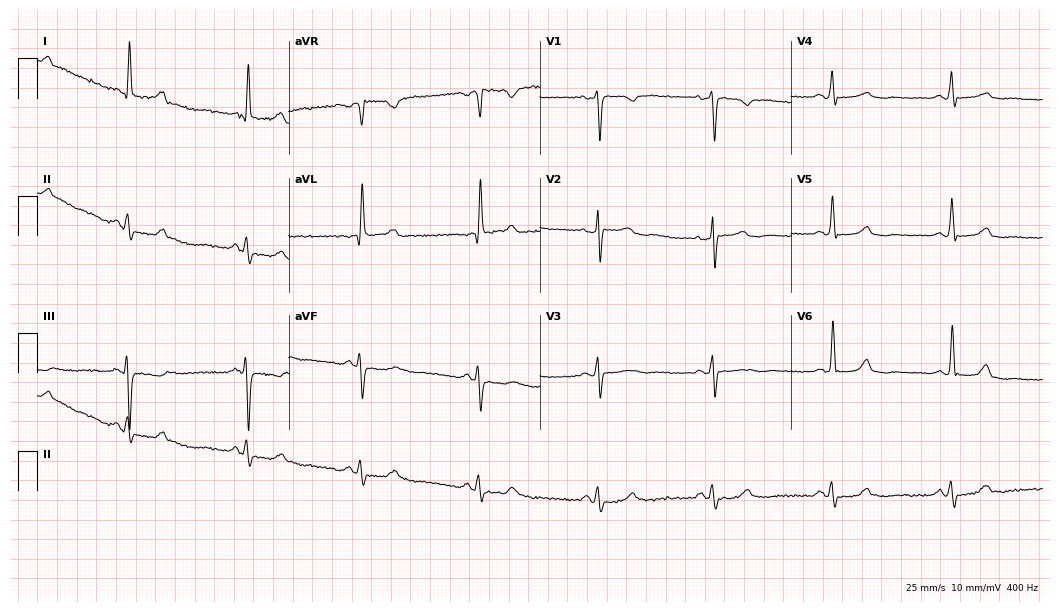
Standard 12-lead ECG recorded from a 60-year-old female (10.2-second recording at 400 Hz). None of these six findings is recorded: first-degree AV block, right bundle branch block (RBBB), left bundle branch block (LBBB), sinus bradycardia, atrial fibrillation (AF), sinus tachycardia.